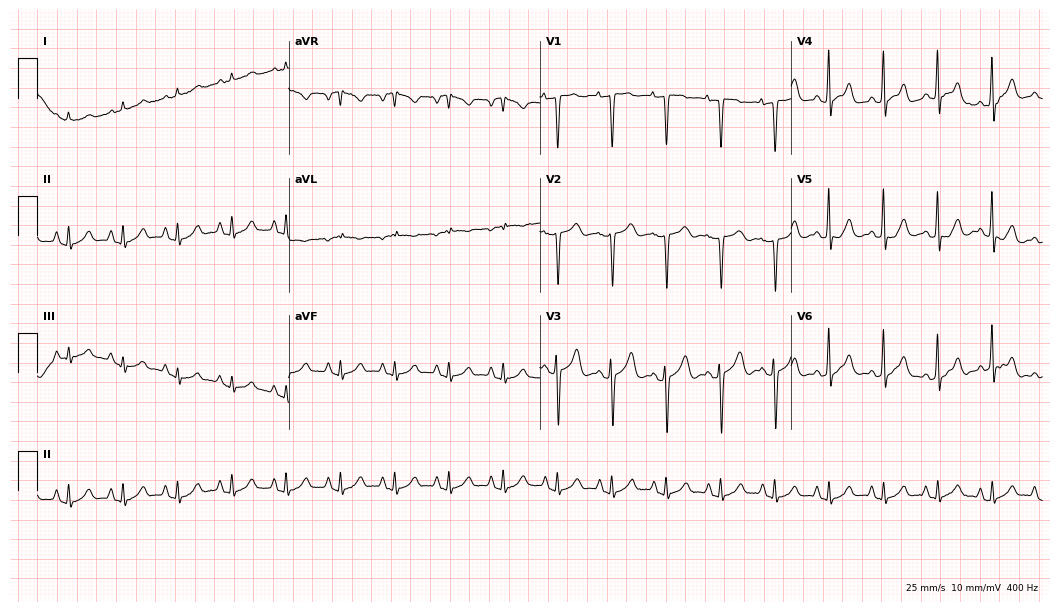
Electrocardiogram (10.2-second recording at 400 Hz), a 70-year-old woman. Interpretation includes sinus tachycardia (a sinus rate of 100 beats per minute or more).